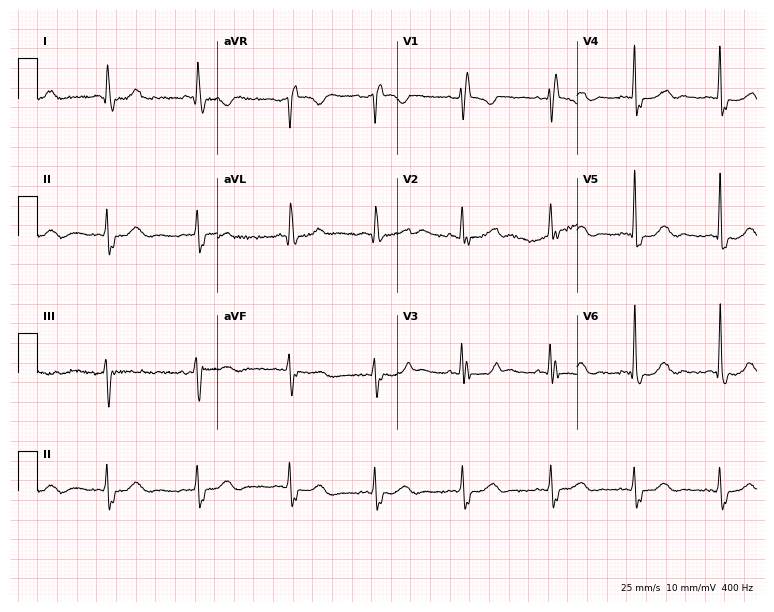
12-lead ECG from a 40-year-old female. Findings include right bundle branch block.